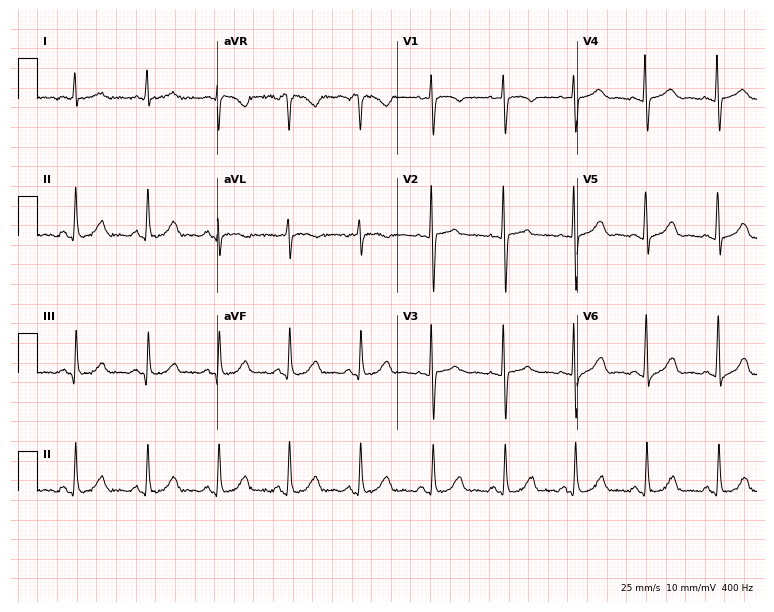
12-lead ECG (7.3-second recording at 400 Hz) from a 55-year-old woman. Labelled as a normal ECG.